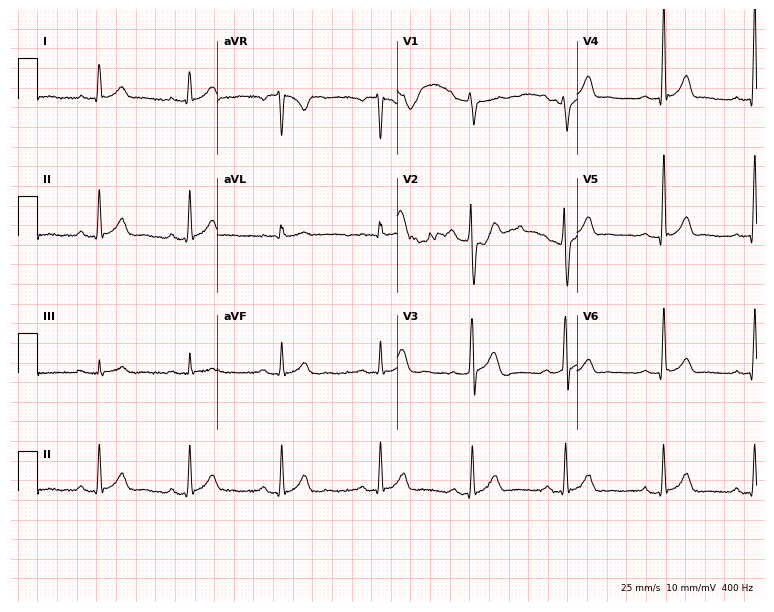
ECG — a 24-year-old male patient. Labelled as a normal ECG.